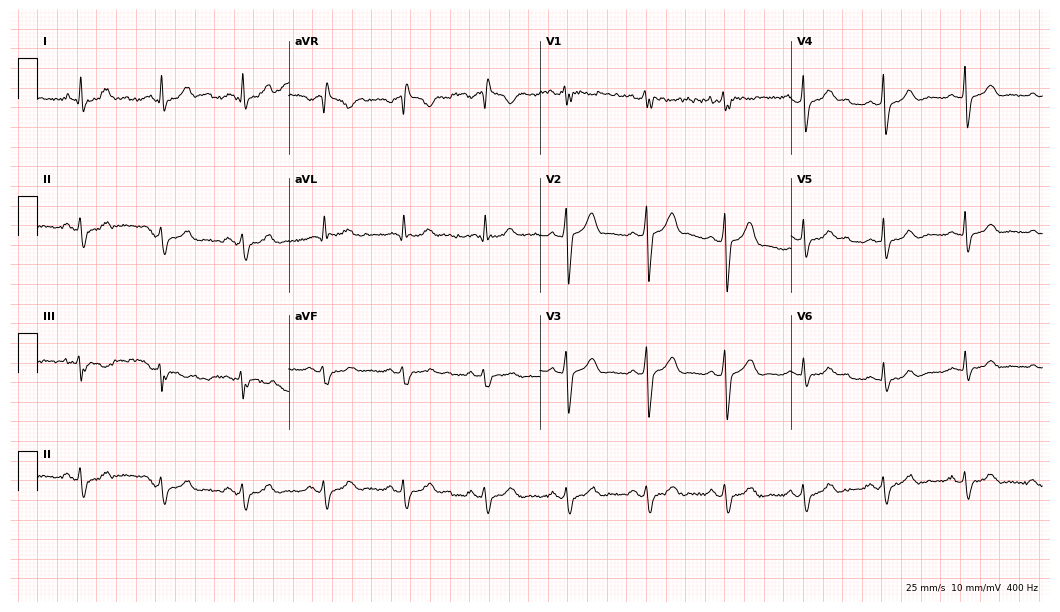
Electrocardiogram, a male, 36 years old. Of the six screened findings (first-degree AV block, right bundle branch block (RBBB), left bundle branch block (LBBB), sinus bradycardia, atrial fibrillation (AF), sinus tachycardia), none is recorded.